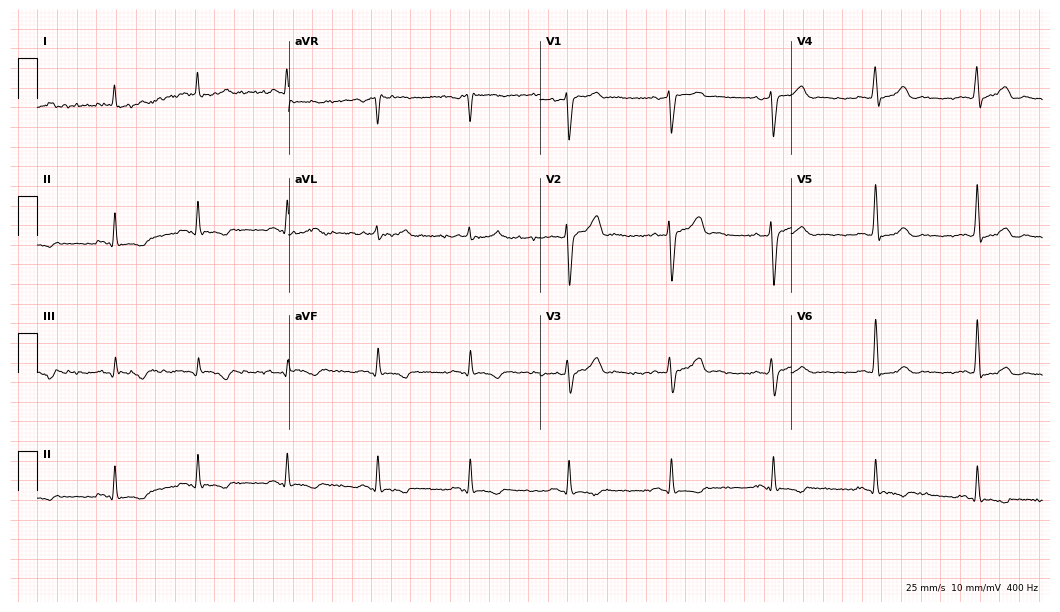
12-lead ECG from a 57-year-old man. No first-degree AV block, right bundle branch block (RBBB), left bundle branch block (LBBB), sinus bradycardia, atrial fibrillation (AF) or sinus tachycardia recorded for this tracing.